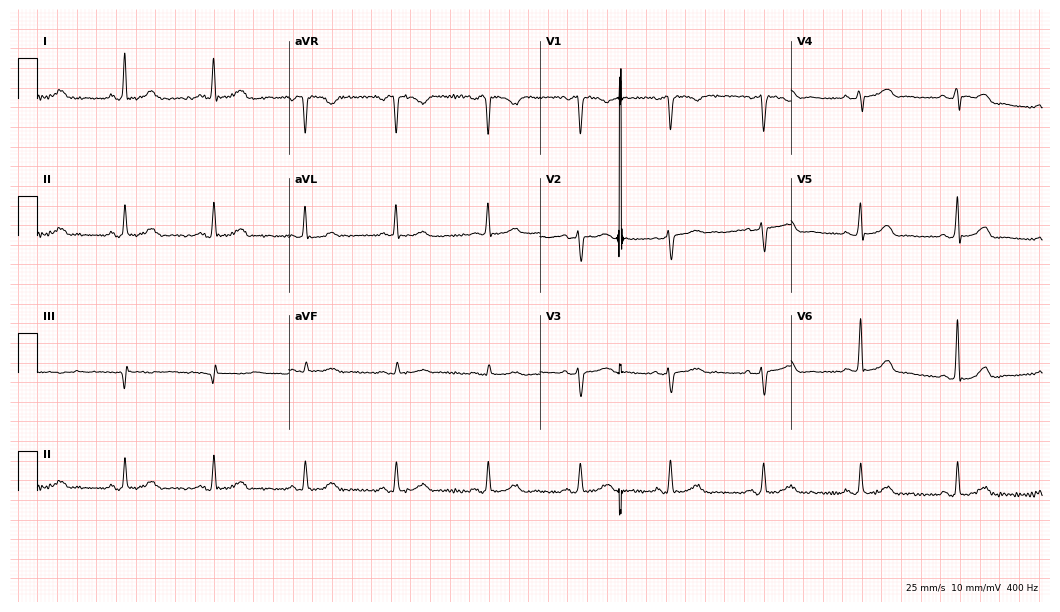
12-lead ECG from a 61-year-old female patient. Recorded interpretation: within normal limits.